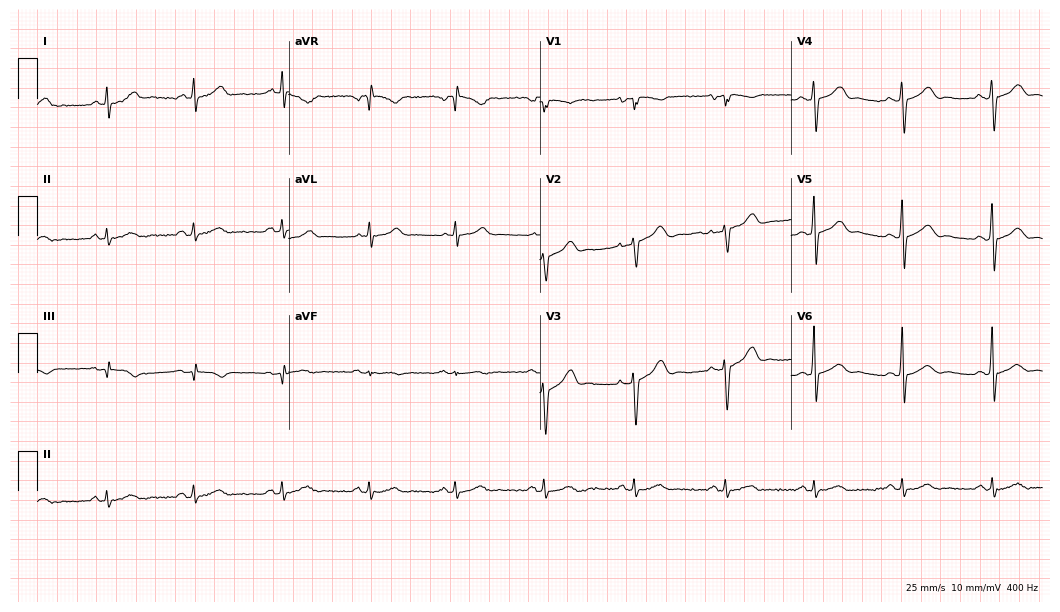
ECG — a male, 39 years old. Labelled as a normal ECG.